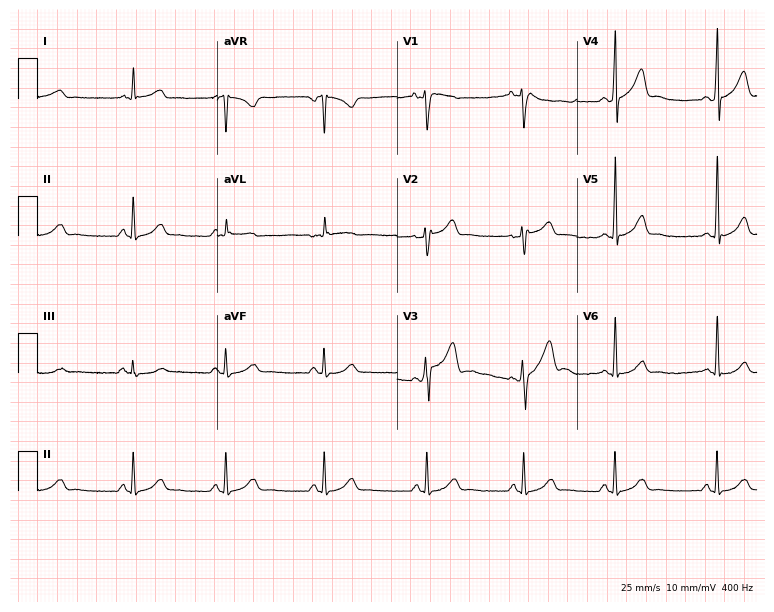
Resting 12-lead electrocardiogram. Patient: a 23-year-old male. Read as a normal ECG.